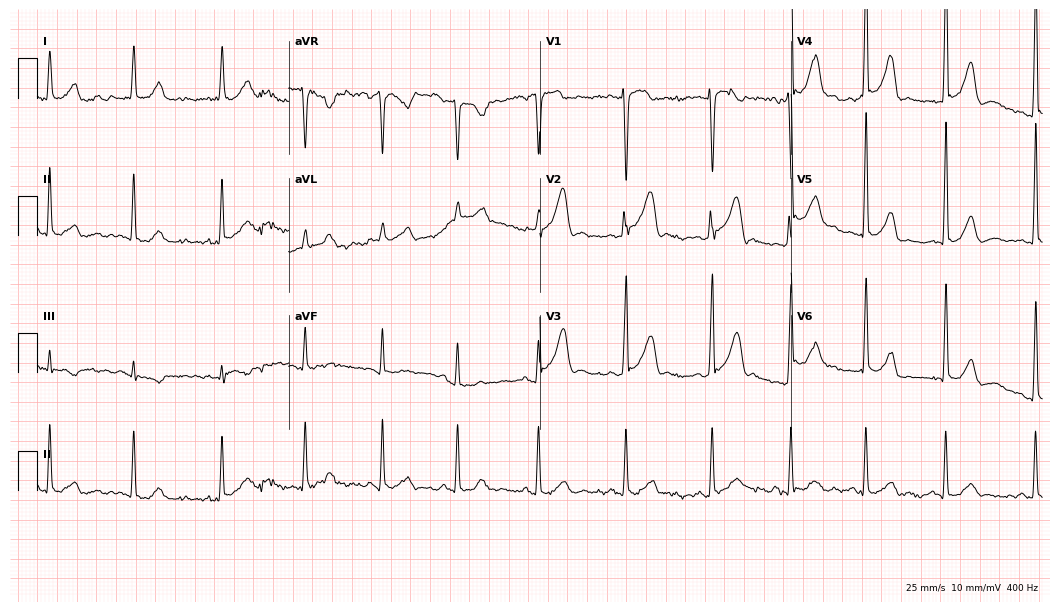
Electrocardiogram (10.2-second recording at 400 Hz), a 22-year-old male. Of the six screened findings (first-degree AV block, right bundle branch block, left bundle branch block, sinus bradycardia, atrial fibrillation, sinus tachycardia), none is recorded.